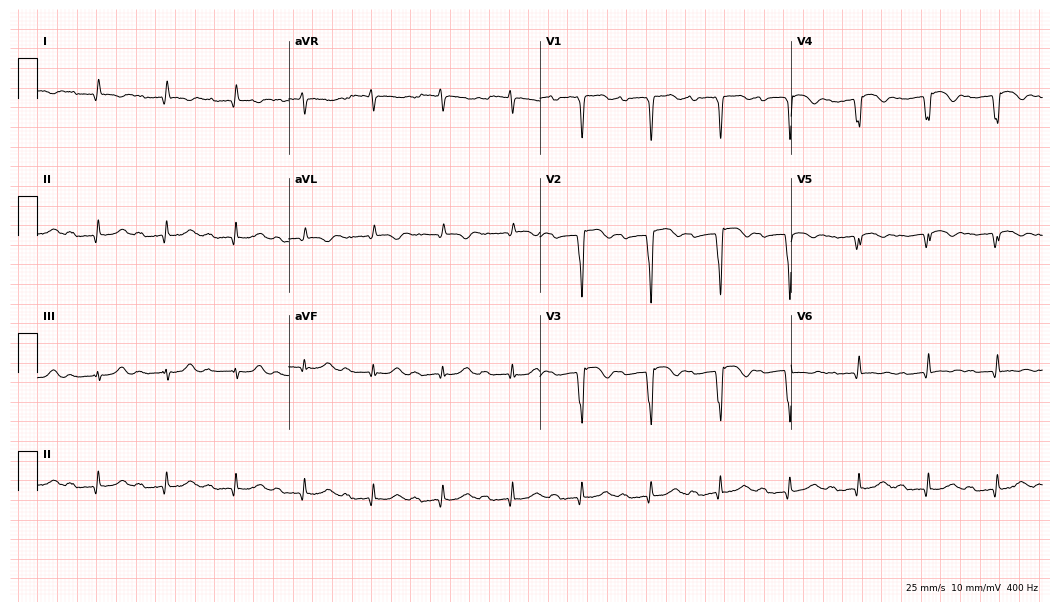
ECG — a male patient, 87 years old. Findings include first-degree AV block.